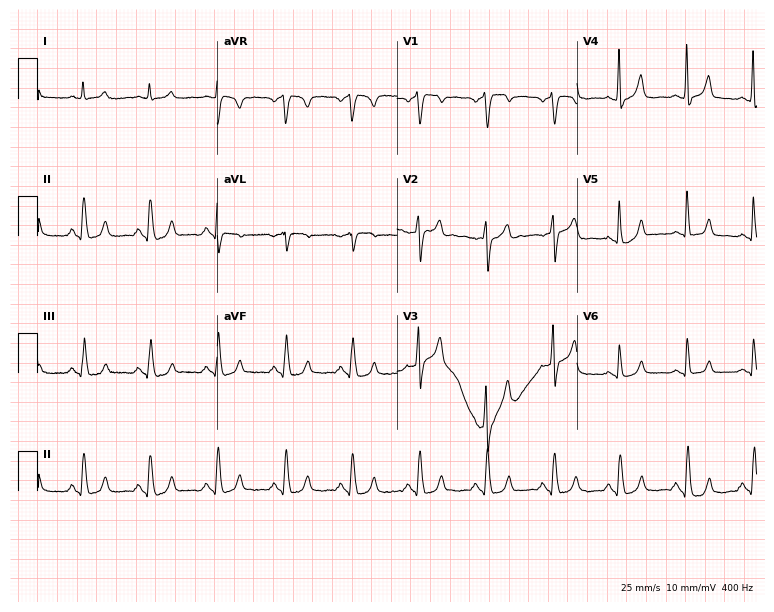
12-lead ECG from a male, 79 years old. Screened for six findings — first-degree AV block, right bundle branch block (RBBB), left bundle branch block (LBBB), sinus bradycardia, atrial fibrillation (AF), sinus tachycardia — none is recorded. Findings outside these six are not listed.